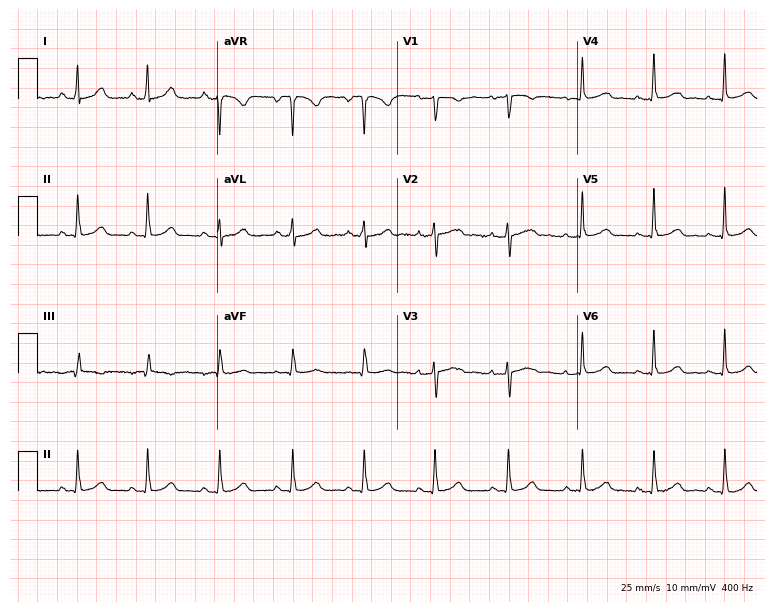
Resting 12-lead electrocardiogram. Patient: a 43-year-old female. Read as a normal ECG.